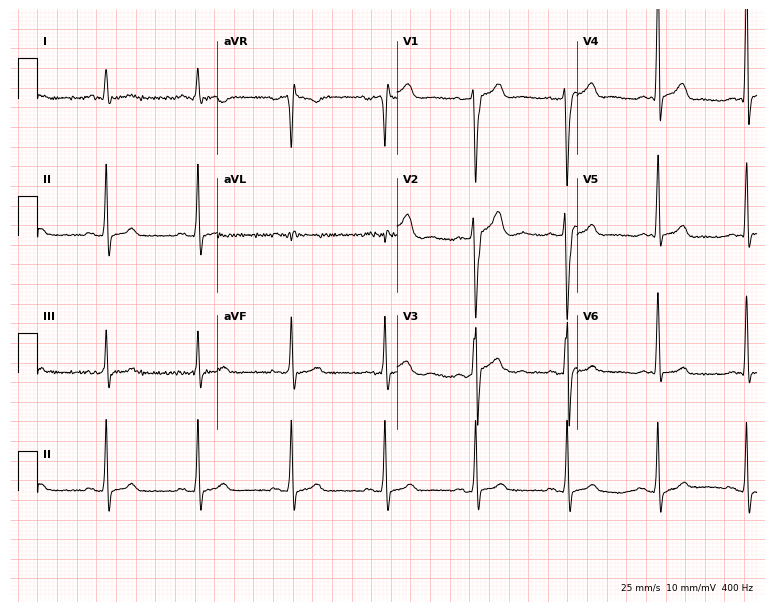
12-lead ECG from a man, 32 years old (7.3-second recording at 400 Hz). No first-degree AV block, right bundle branch block (RBBB), left bundle branch block (LBBB), sinus bradycardia, atrial fibrillation (AF) or sinus tachycardia recorded for this tracing. Only these six findings were labelled.